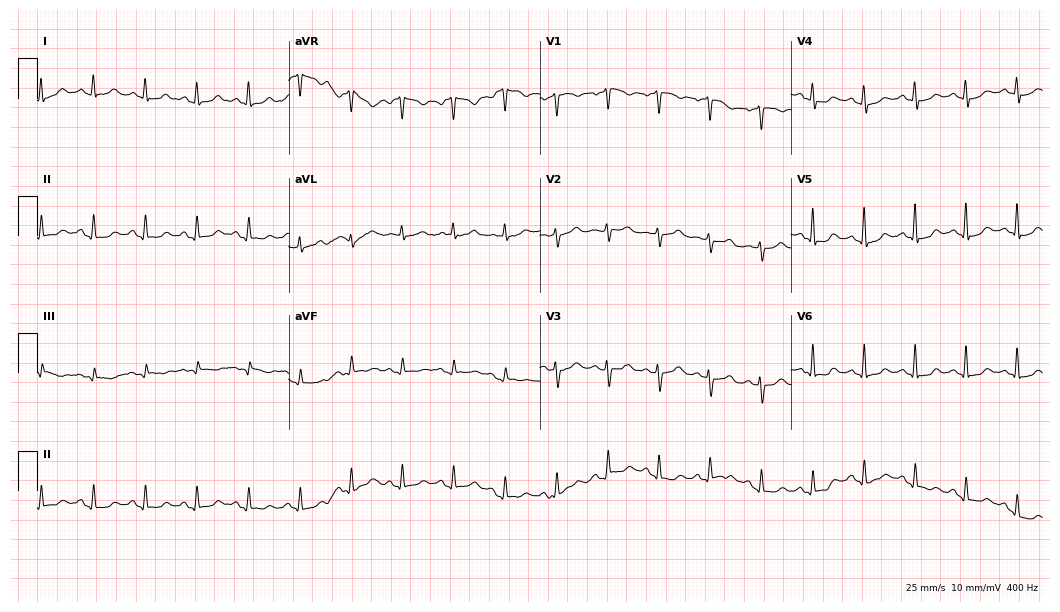
Electrocardiogram, a woman, 48 years old. Interpretation includes sinus tachycardia (a sinus rate of 100 beats per minute or more).